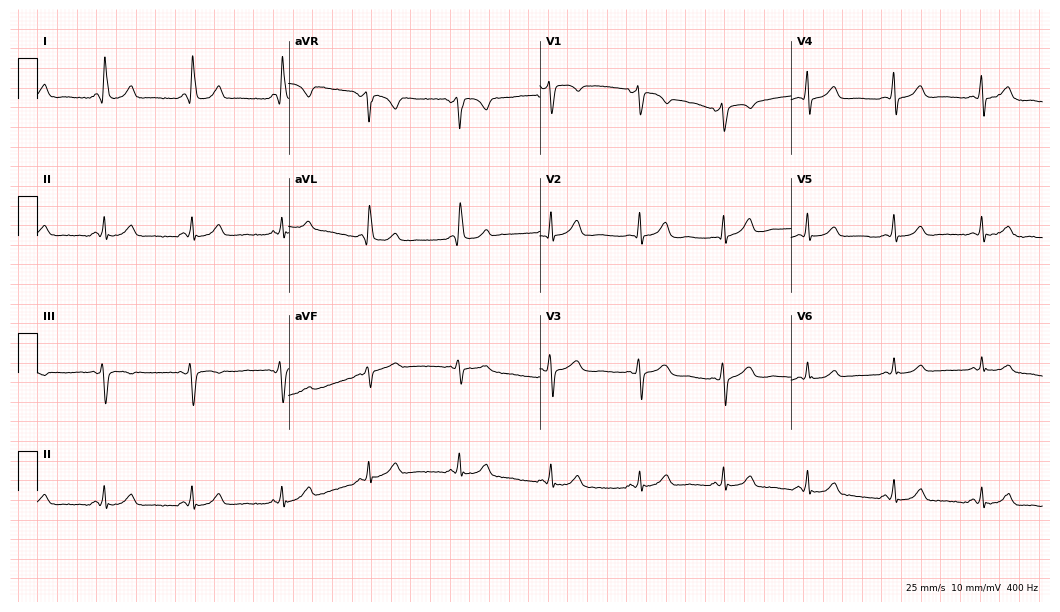
Electrocardiogram, a female patient, 43 years old. Of the six screened findings (first-degree AV block, right bundle branch block, left bundle branch block, sinus bradycardia, atrial fibrillation, sinus tachycardia), none is recorded.